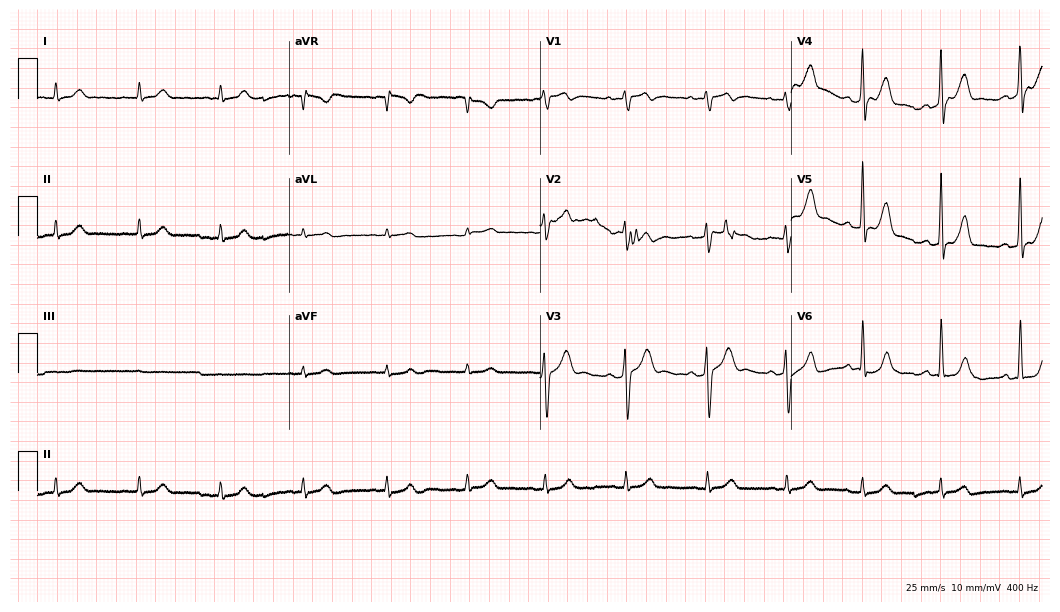
12-lead ECG from a 44-year-old man. Labelled as a normal ECG.